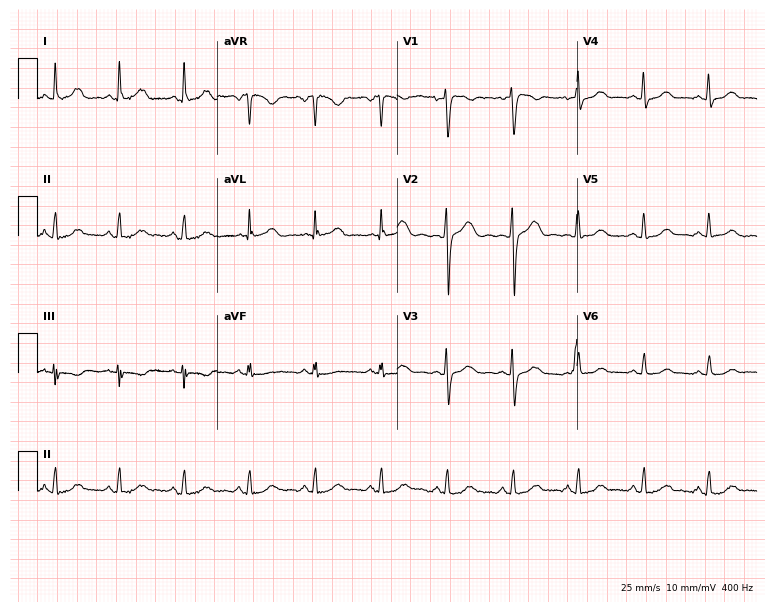
Standard 12-lead ECG recorded from a 50-year-old woman. Read as a normal ECG.